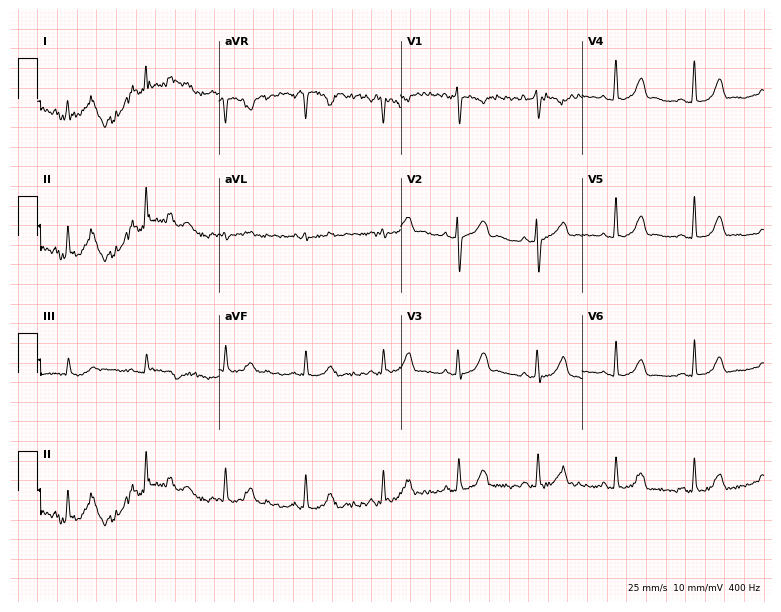
Resting 12-lead electrocardiogram. Patient: a female, 22 years old. Read as a normal ECG.